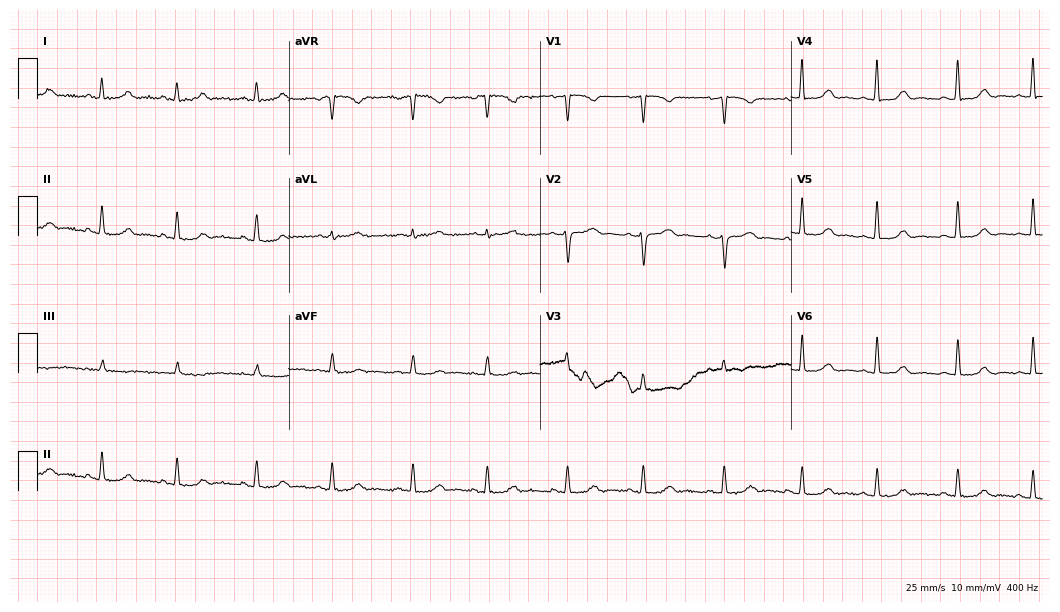
Electrocardiogram (10.2-second recording at 400 Hz), a 54-year-old female patient. Overall reading on record: normal ECG.